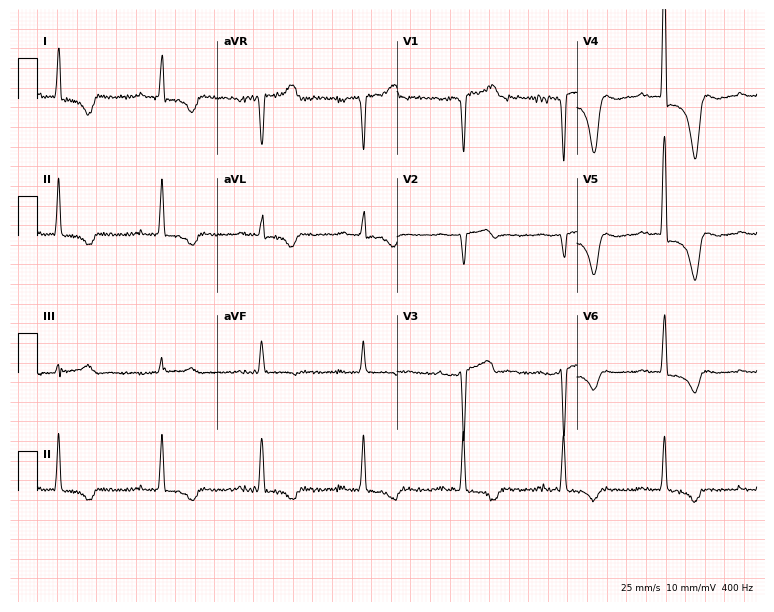
12-lead ECG from a 63-year-old man (7.3-second recording at 400 Hz). No first-degree AV block, right bundle branch block, left bundle branch block, sinus bradycardia, atrial fibrillation or sinus tachycardia recorded for this tracing.